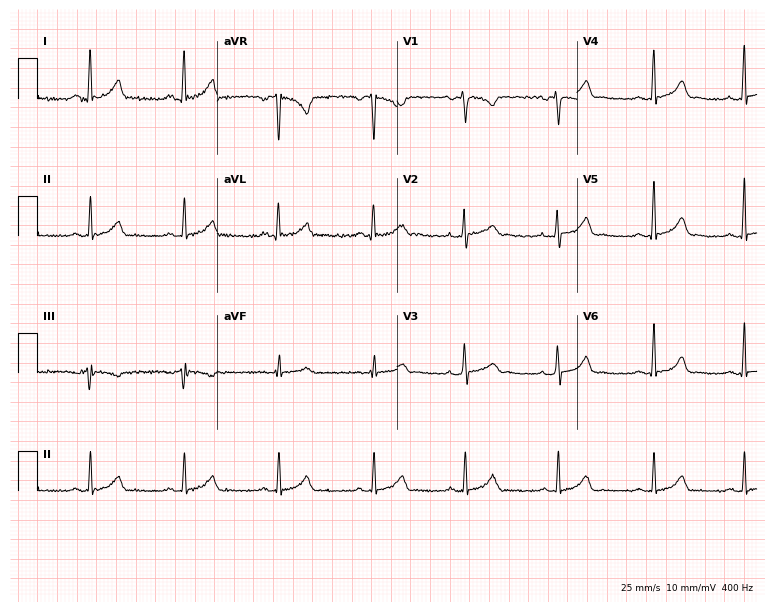
Electrocardiogram (7.3-second recording at 400 Hz), a female patient, 32 years old. Overall reading on record: normal ECG.